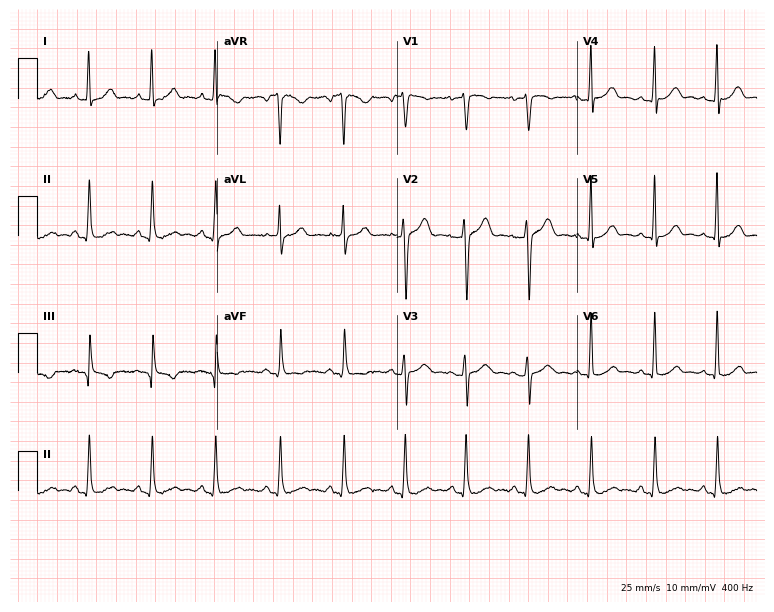
ECG (7.3-second recording at 400 Hz) — a male patient, 39 years old. Labelled as a normal ECG.